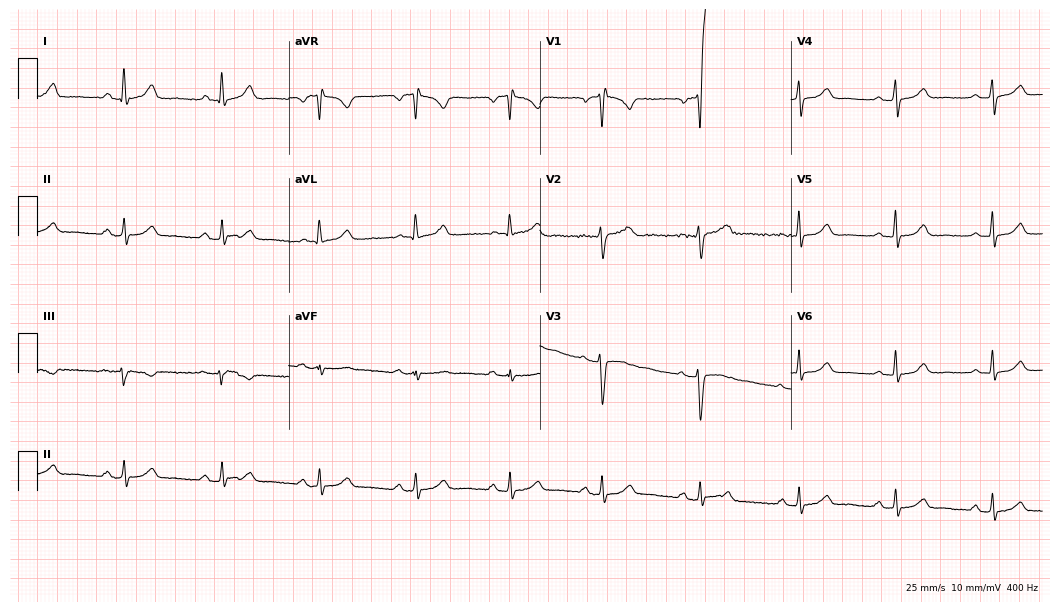
Resting 12-lead electrocardiogram (10.2-second recording at 400 Hz). Patient: a 43-year-old woman. Read as a normal ECG.